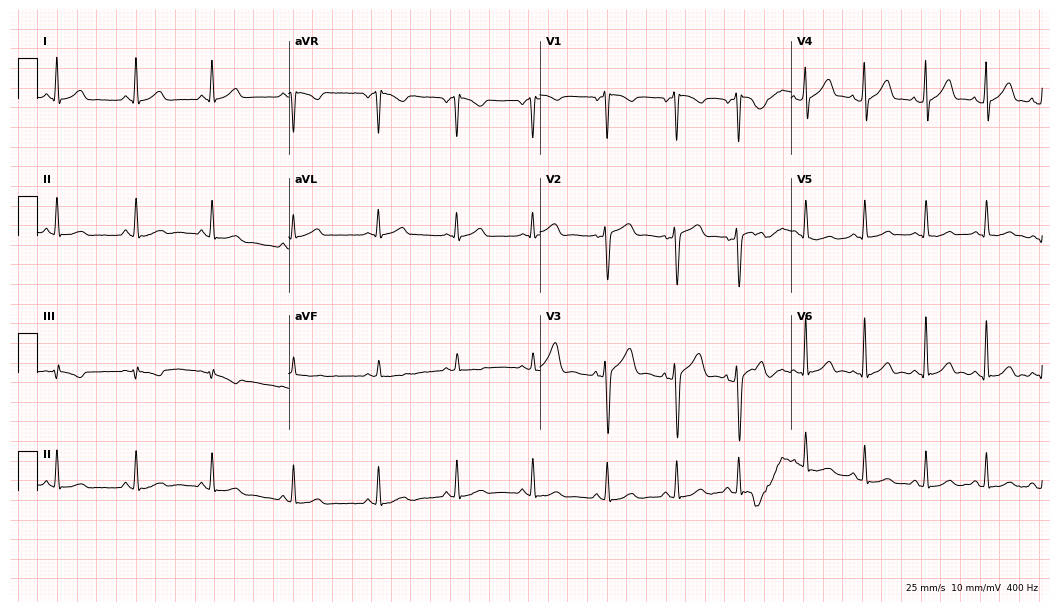
Electrocardiogram (10.2-second recording at 400 Hz), a male patient, 39 years old. Overall reading on record: normal ECG.